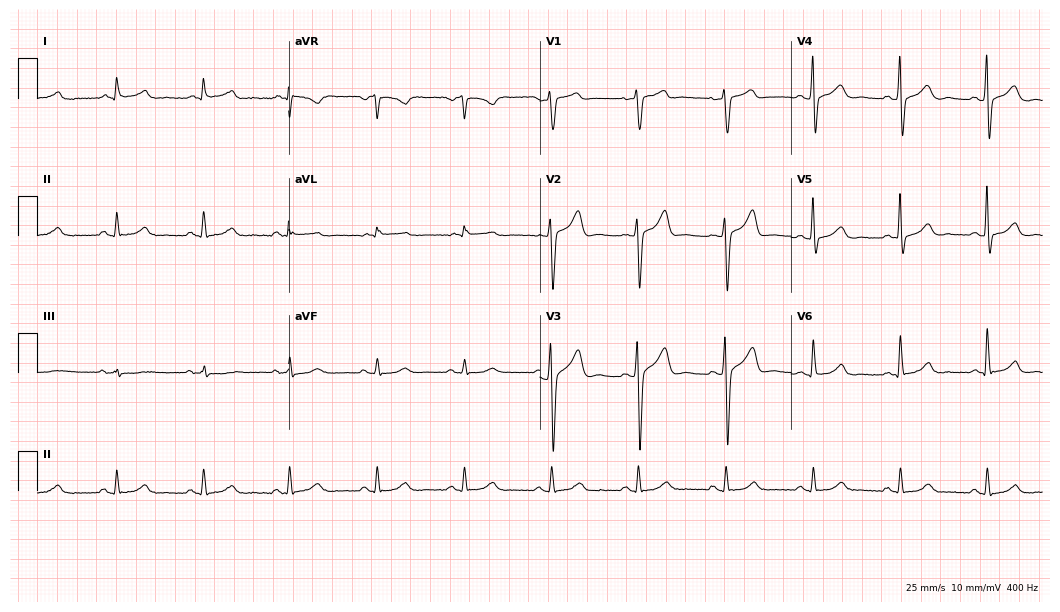
12-lead ECG from a 55-year-old man. Labelled as a normal ECG.